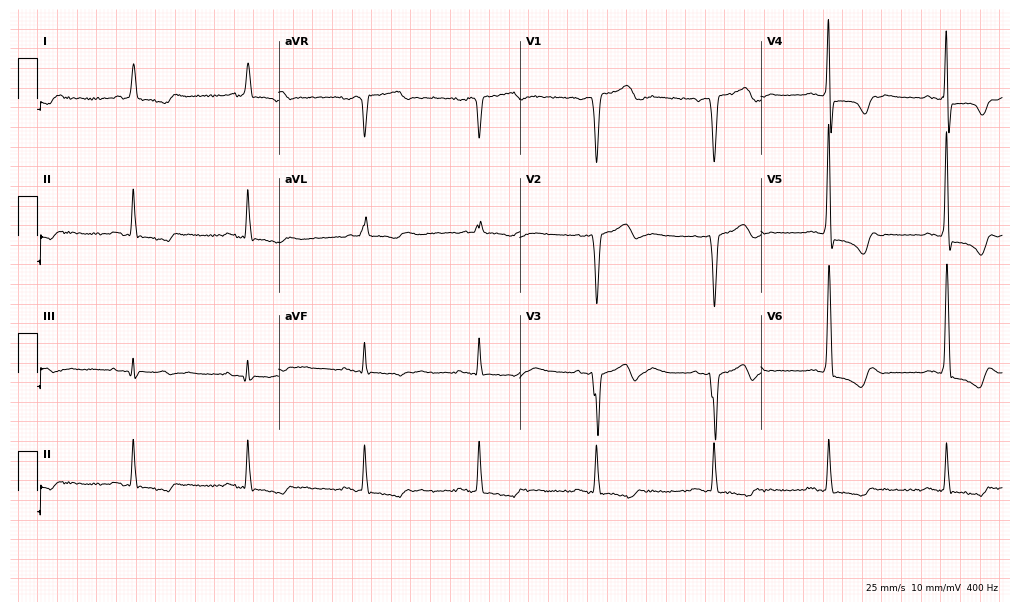
Standard 12-lead ECG recorded from a man, 69 years old. None of these six findings is recorded: first-degree AV block, right bundle branch block (RBBB), left bundle branch block (LBBB), sinus bradycardia, atrial fibrillation (AF), sinus tachycardia. Only these six findings were labelled.